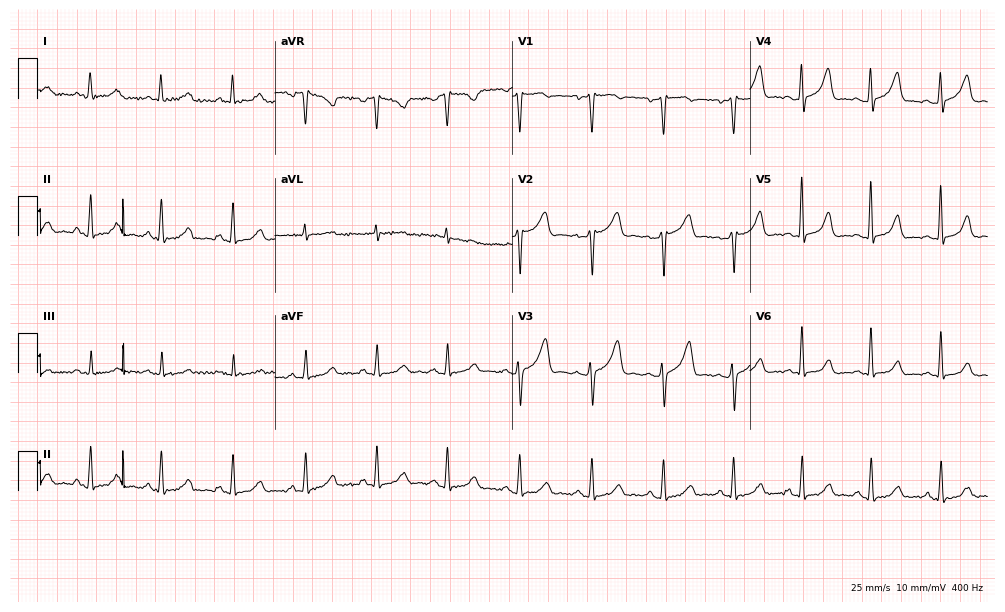
12-lead ECG from a 35-year-old male patient (9.7-second recording at 400 Hz). Recorded interpretation: within normal limits.